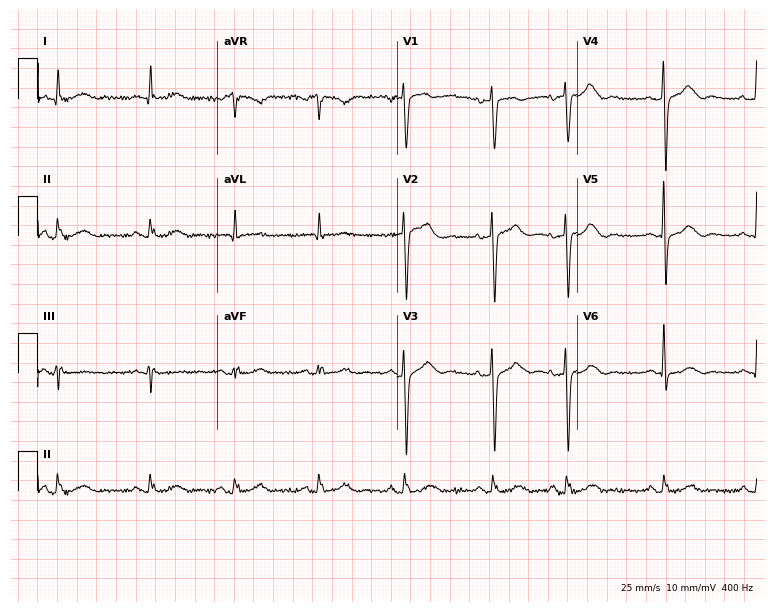
Electrocardiogram, a woman, 81 years old. Of the six screened findings (first-degree AV block, right bundle branch block (RBBB), left bundle branch block (LBBB), sinus bradycardia, atrial fibrillation (AF), sinus tachycardia), none is recorded. Findings outside these six are not listed.